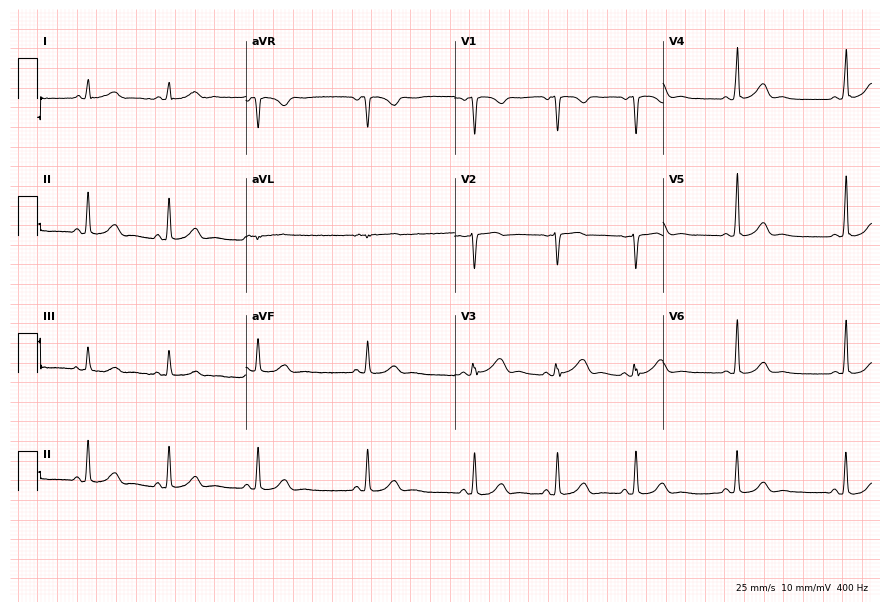
Resting 12-lead electrocardiogram. Patient: a female, 28 years old. Read as a normal ECG.